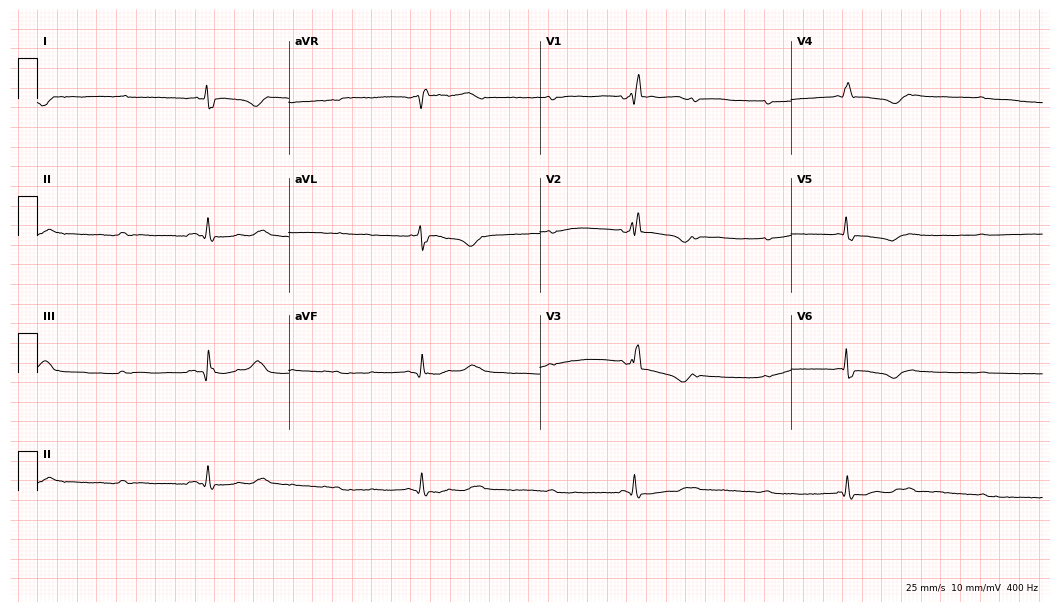
Resting 12-lead electrocardiogram. Patient: a female, 65 years old. None of these six findings is recorded: first-degree AV block, right bundle branch block, left bundle branch block, sinus bradycardia, atrial fibrillation, sinus tachycardia. Findings outside these six are not listed.